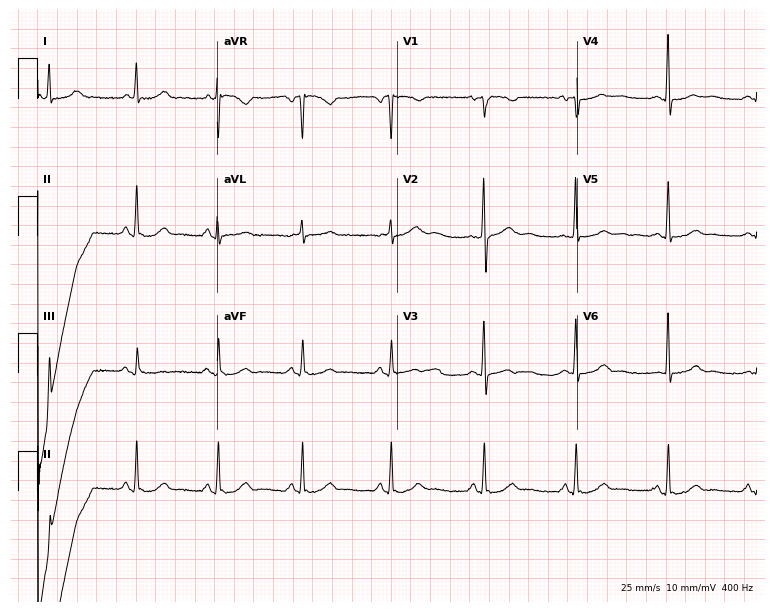
ECG — a female, 49 years old. Labelled as a normal ECG.